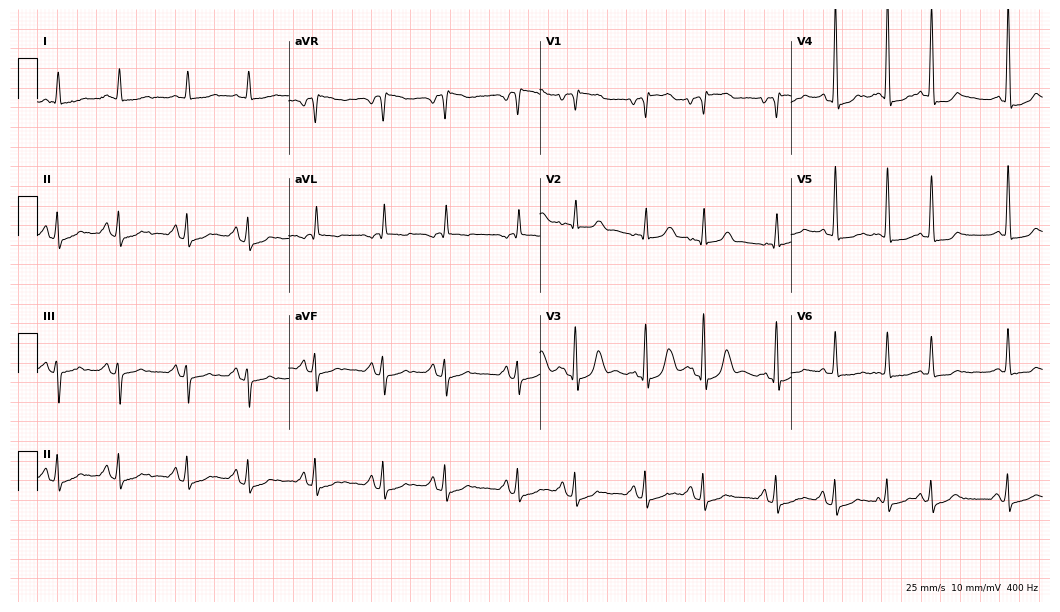
ECG — a female patient, 58 years old. Screened for six findings — first-degree AV block, right bundle branch block, left bundle branch block, sinus bradycardia, atrial fibrillation, sinus tachycardia — none is recorded.